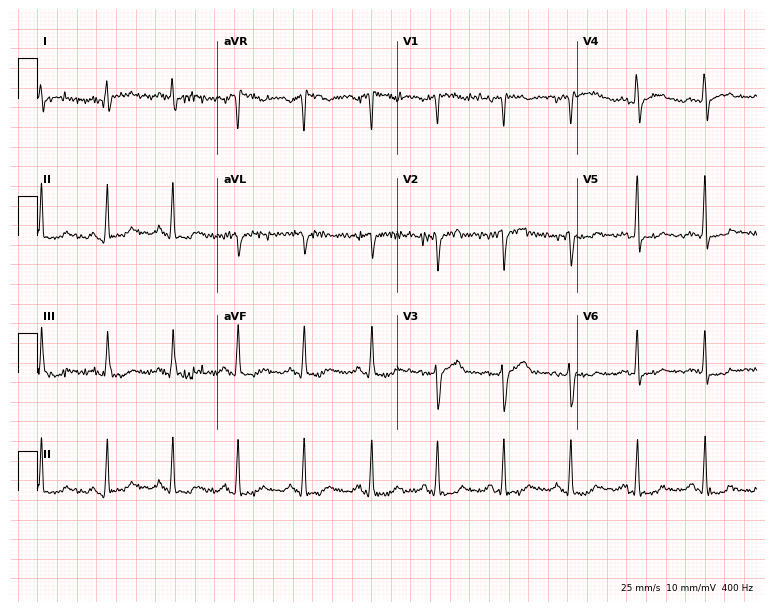
Electrocardiogram, a male patient, 41 years old. Of the six screened findings (first-degree AV block, right bundle branch block (RBBB), left bundle branch block (LBBB), sinus bradycardia, atrial fibrillation (AF), sinus tachycardia), none is recorded. Other findings, if any, are not listed.